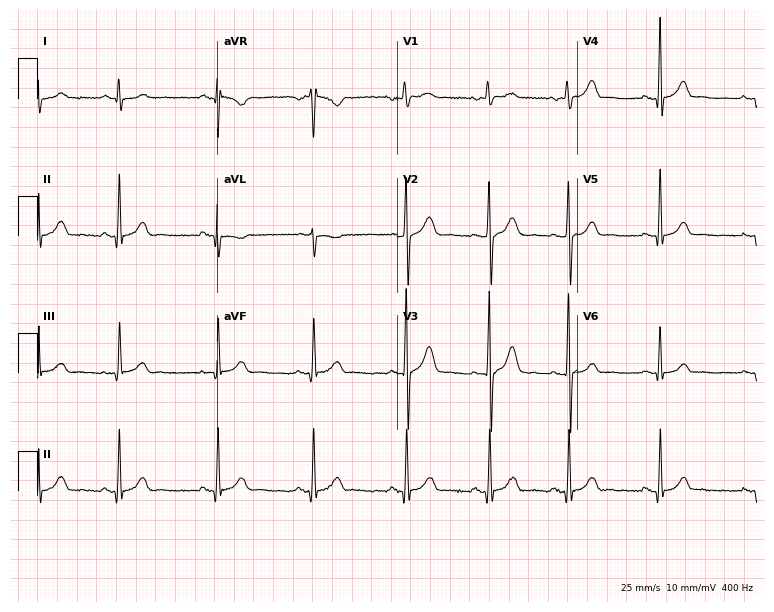
12-lead ECG from a male patient, 19 years old (7.3-second recording at 400 Hz). Recorded interpretation: within normal limits.